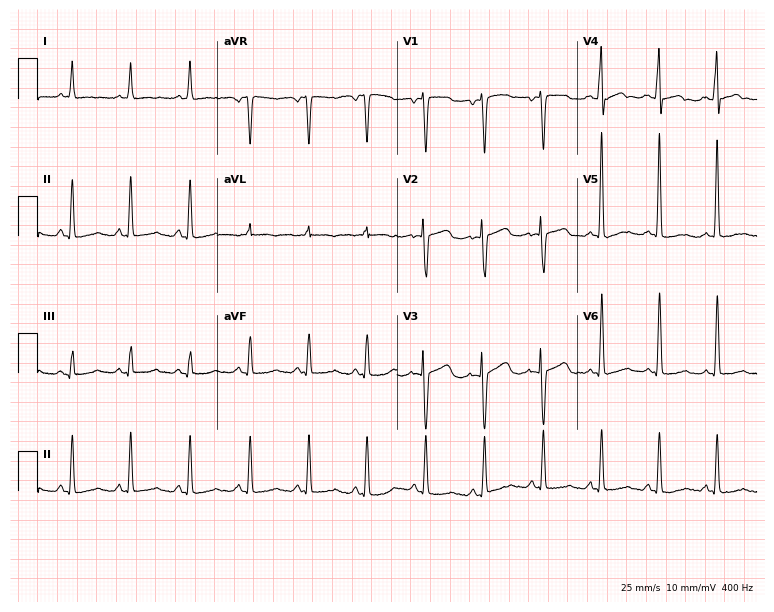
Standard 12-lead ECG recorded from a 54-year-old female patient (7.3-second recording at 400 Hz). None of these six findings is recorded: first-degree AV block, right bundle branch block, left bundle branch block, sinus bradycardia, atrial fibrillation, sinus tachycardia.